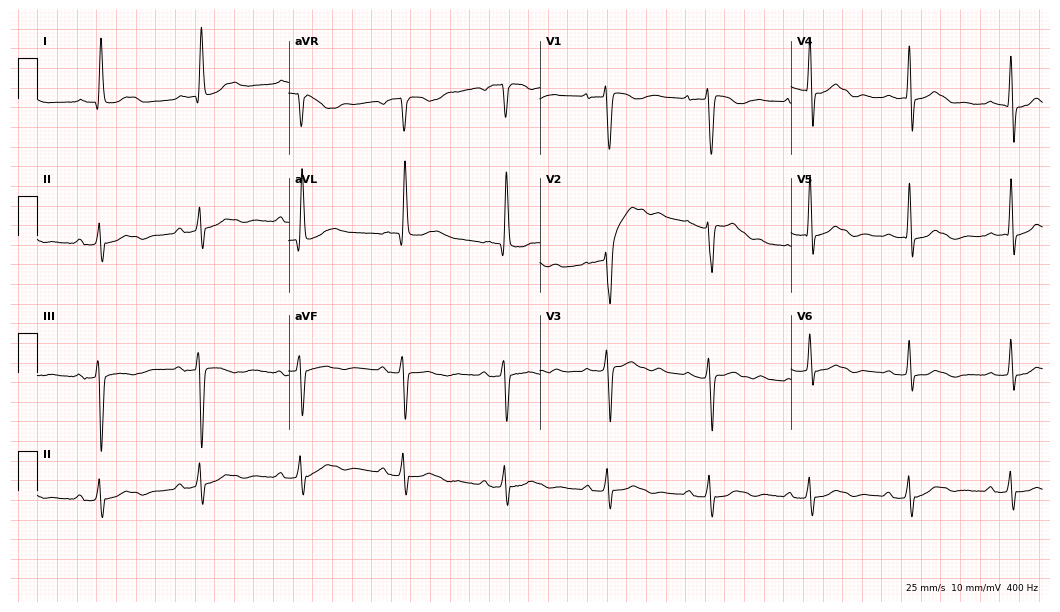
Electrocardiogram (10.2-second recording at 400 Hz), a male patient, 85 years old. Interpretation includes first-degree AV block.